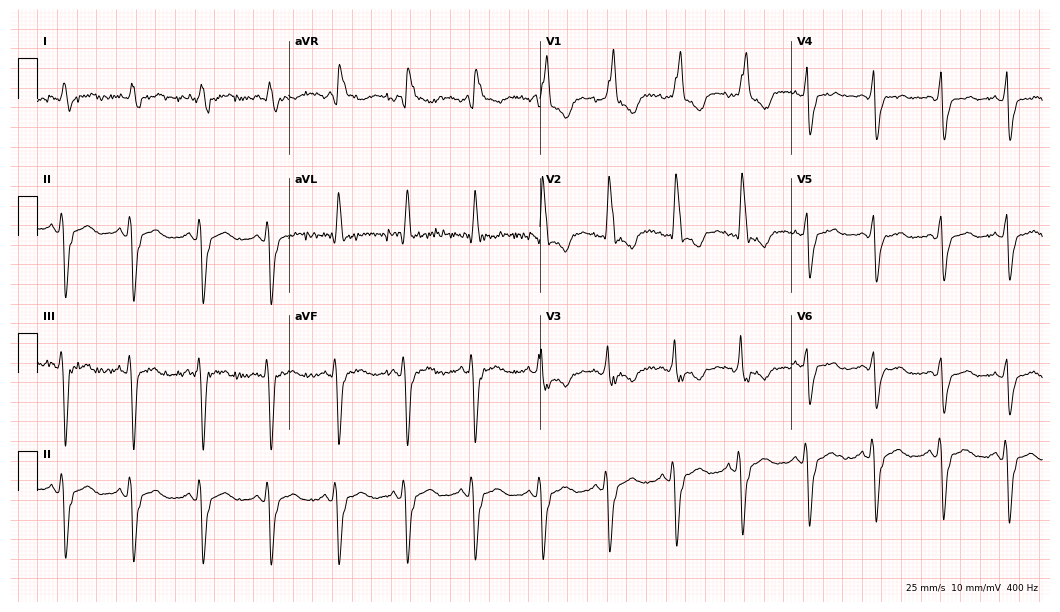
ECG — a female patient, 79 years old. Findings include right bundle branch block.